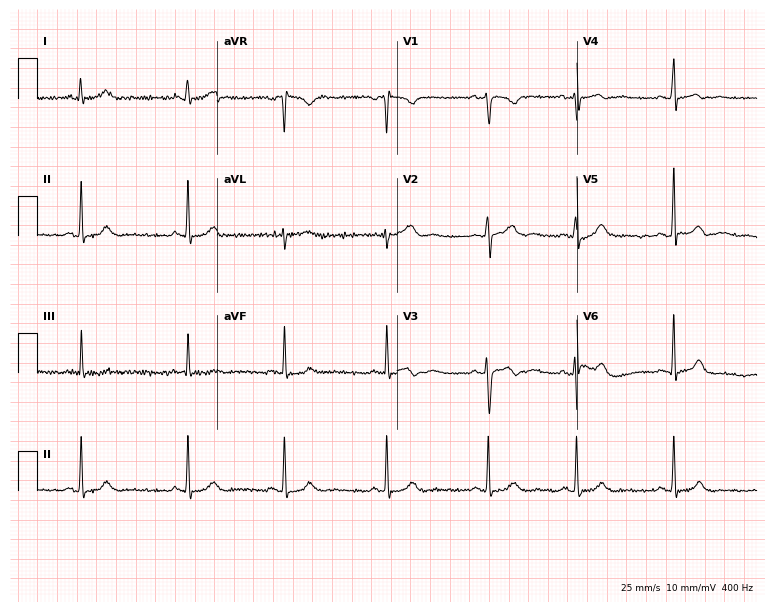
ECG — a 25-year-old female patient. Labelled as a normal ECG.